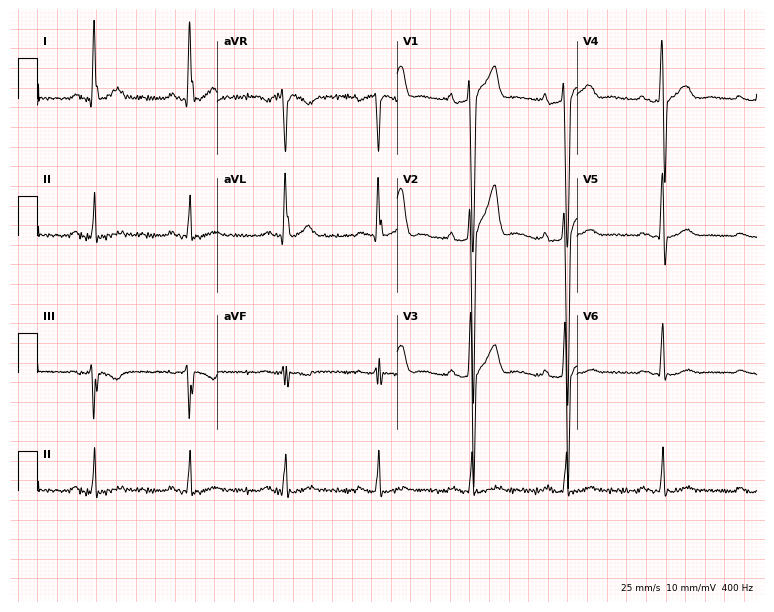
12-lead ECG from a 47-year-old male (7.3-second recording at 400 Hz). Recorded interpretation: within normal limits.